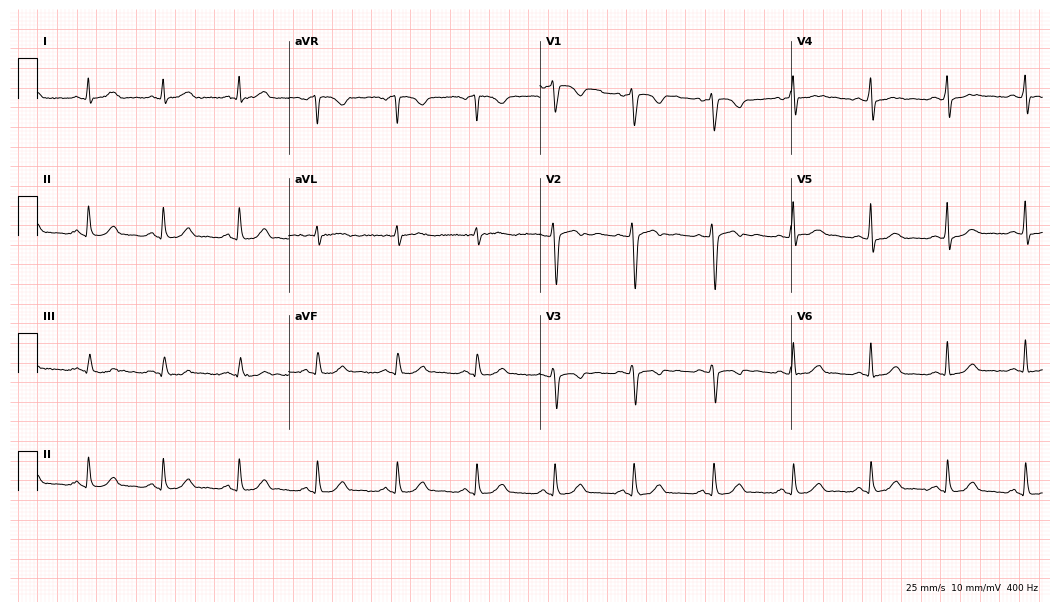
ECG — a woman, 70 years old. Labelled as a normal ECG.